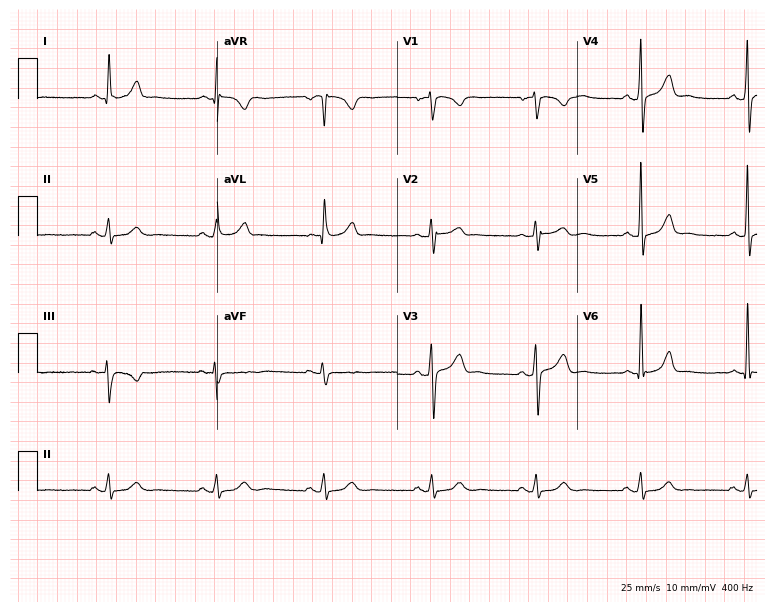
Resting 12-lead electrocardiogram (7.3-second recording at 400 Hz). Patient: a 59-year-old man. Read as a normal ECG.